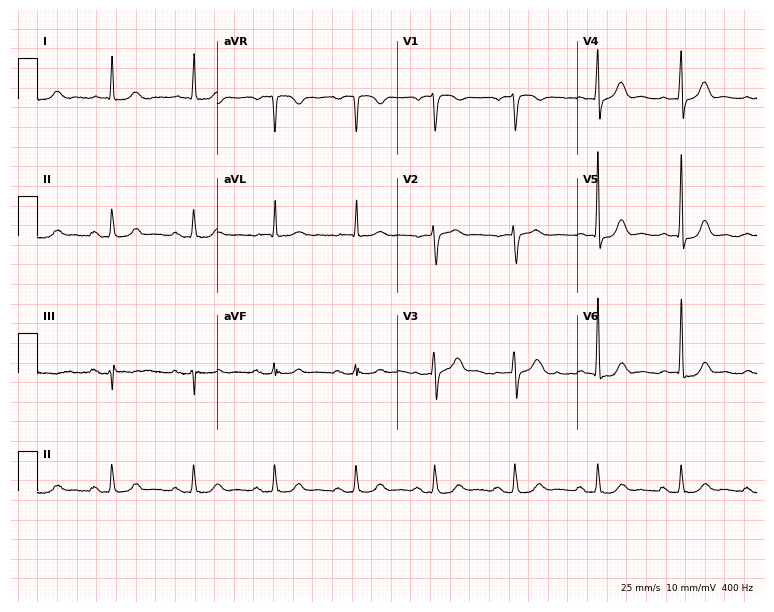
ECG (7.3-second recording at 400 Hz) — an 87-year-old male patient. Labelled as a normal ECG.